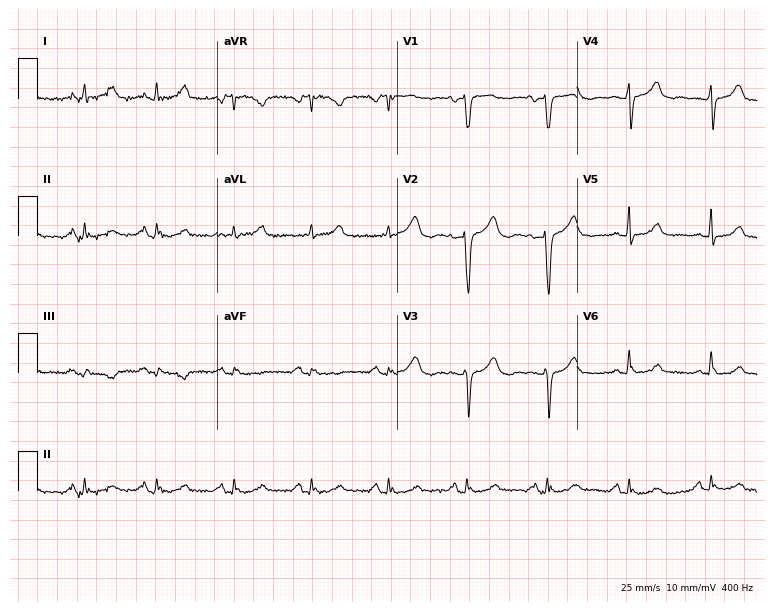
12-lead ECG (7.3-second recording at 400 Hz) from a woman, 56 years old. Labelled as a normal ECG.